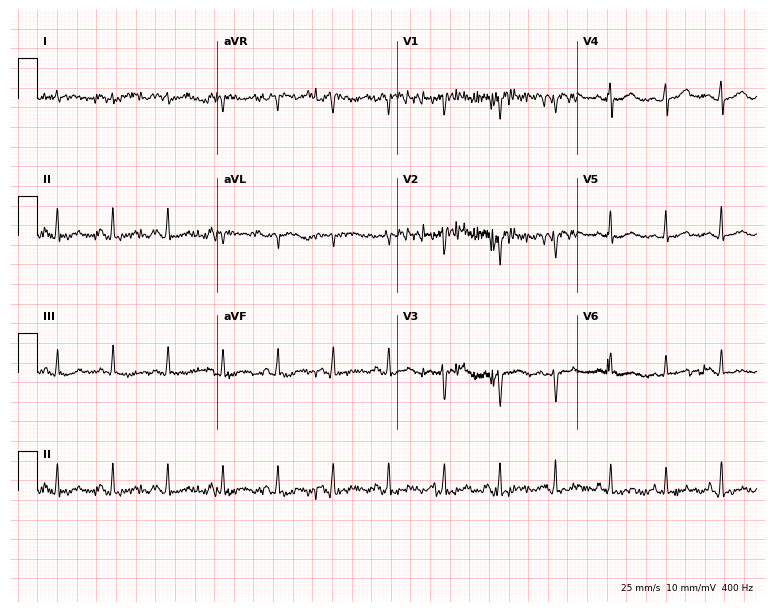
ECG (7.3-second recording at 400 Hz) — a 48-year-old woman. Findings include sinus tachycardia (a sinus rate of 100 beats per minute or more).